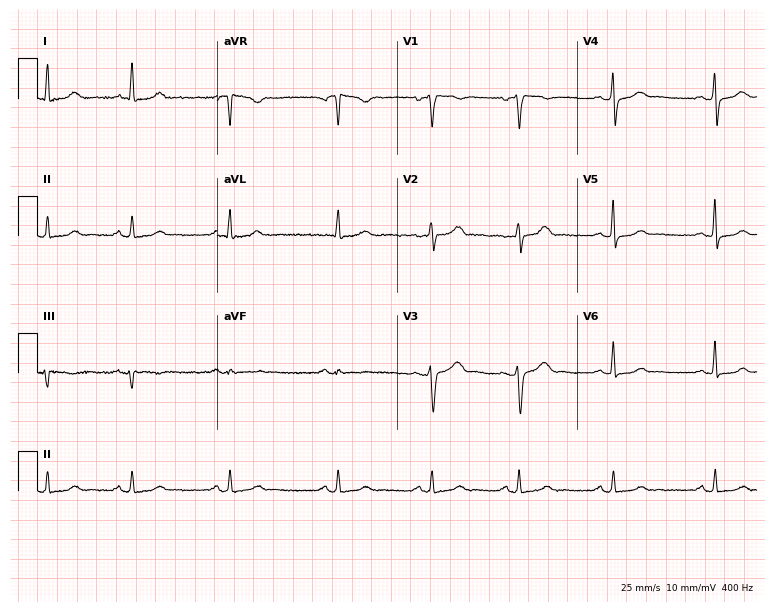
Standard 12-lead ECG recorded from a woman, 34 years old (7.3-second recording at 400 Hz). Read as a normal ECG.